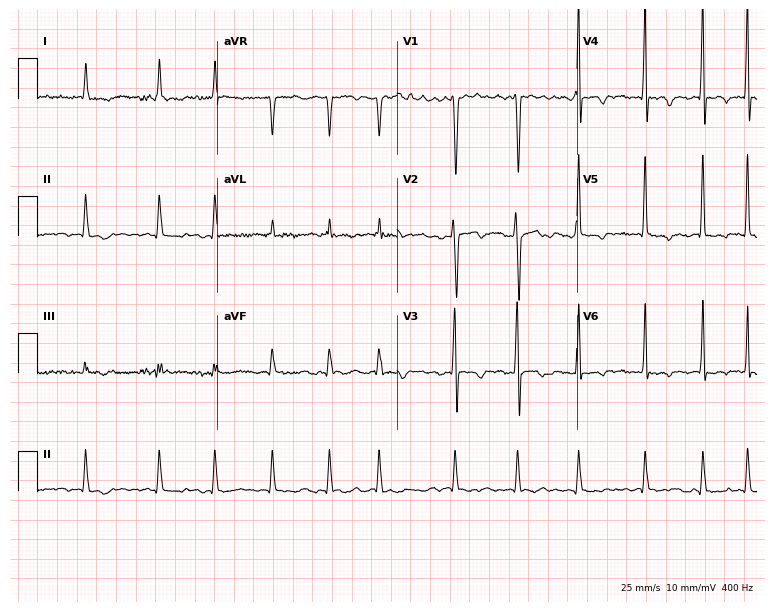
Electrocardiogram, a 21-year-old male. Interpretation includes atrial fibrillation (AF).